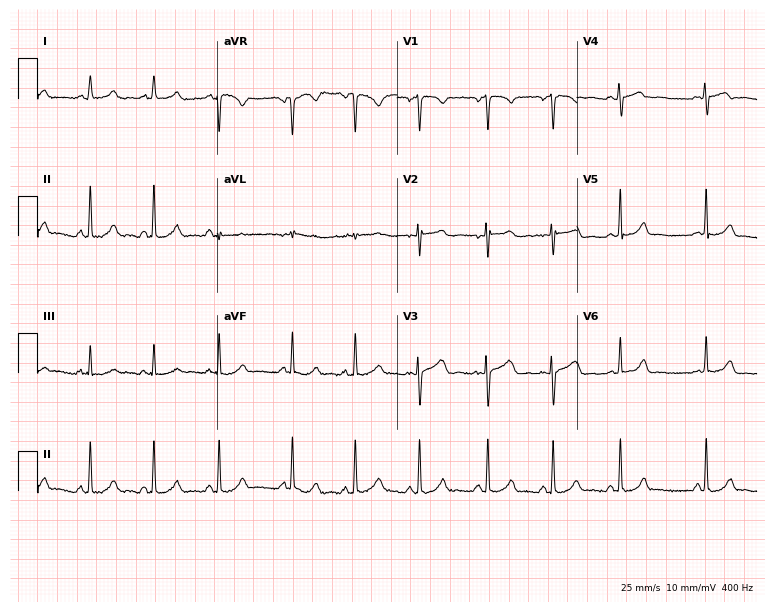
12-lead ECG (7.3-second recording at 400 Hz) from a woman, 21 years old. Labelled as a normal ECG.